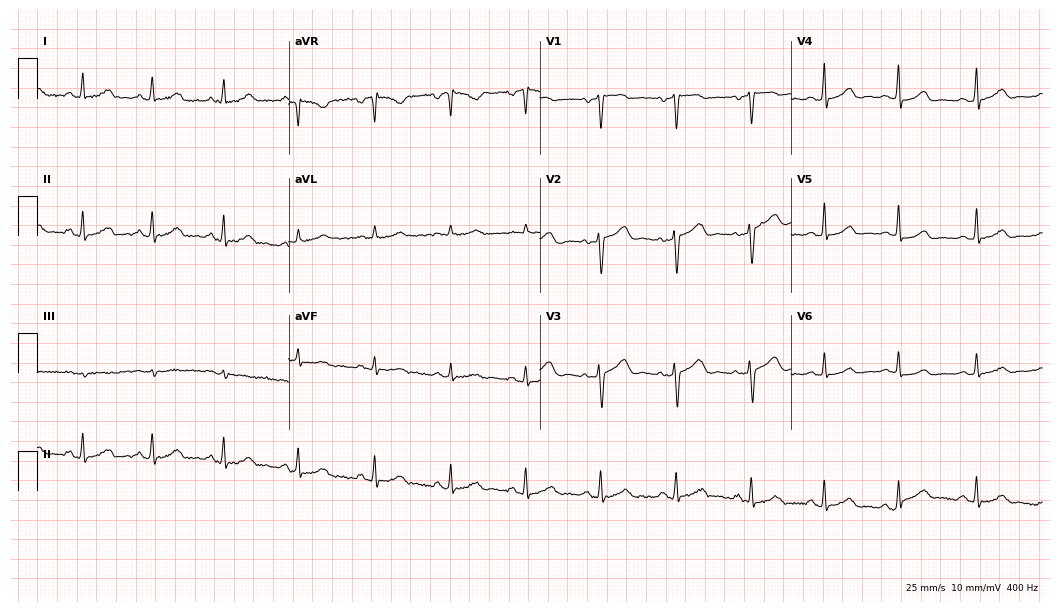
ECG — a 44-year-old female. Screened for six findings — first-degree AV block, right bundle branch block (RBBB), left bundle branch block (LBBB), sinus bradycardia, atrial fibrillation (AF), sinus tachycardia — none is recorded. Findings outside these six are not listed.